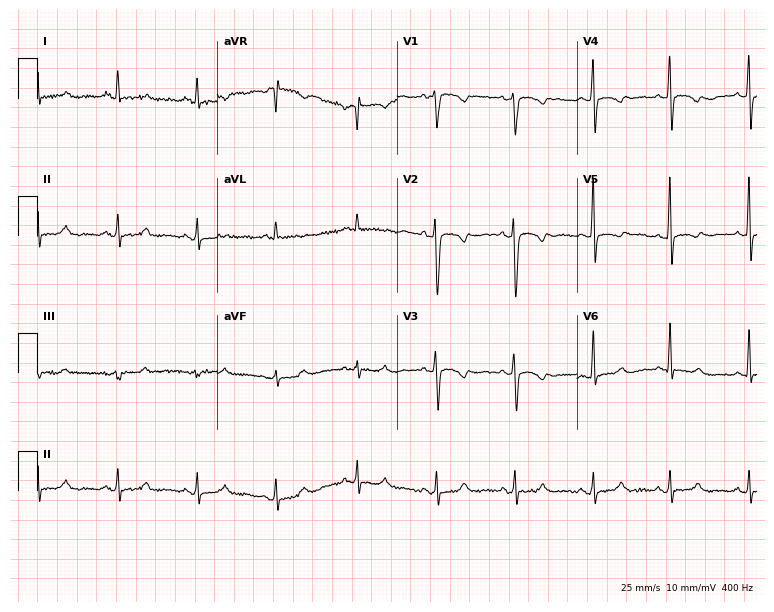
Electrocardiogram (7.3-second recording at 400 Hz), a 48-year-old female. Overall reading on record: normal ECG.